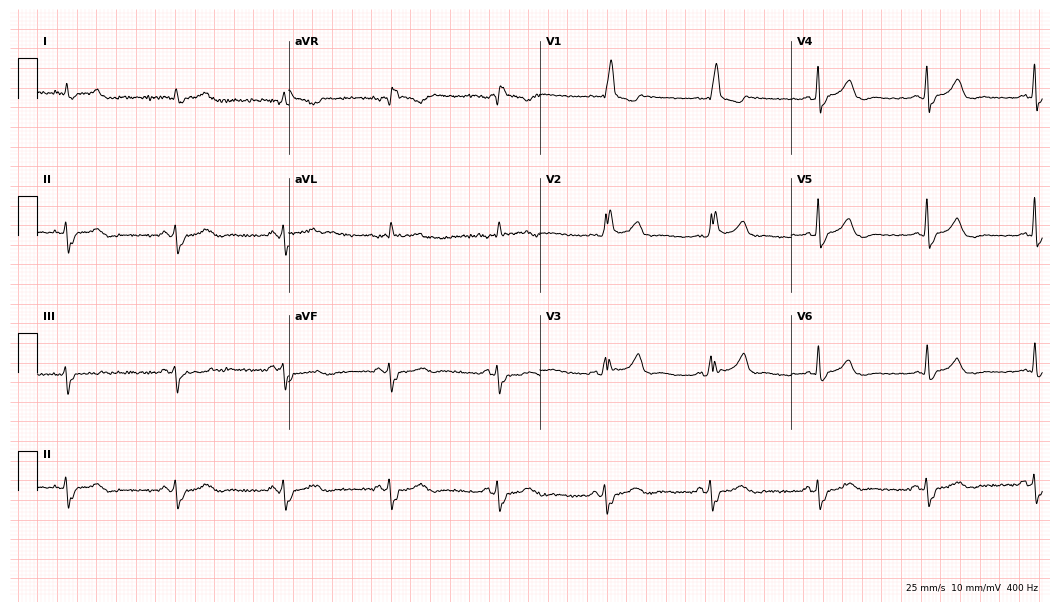
Standard 12-lead ECG recorded from a 75-year-old male. None of these six findings is recorded: first-degree AV block, right bundle branch block (RBBB), left bundle branch block (LBBB), sinus bradycardia, atrial fibrillation (AF), sinus tachycardia. Other findings, if any, are not listed.